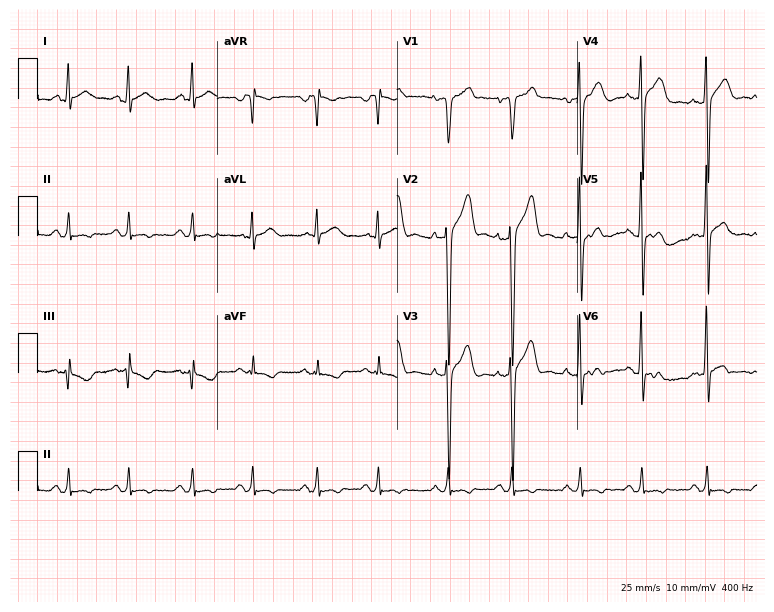
ECG — a male patient, 48 years old. Screened for six findings — first-degree AV block, right bundle branch block, left bundle branch block, sinus bradycardia, atrial fibrillation, sinus tachycardia — none is recorded.